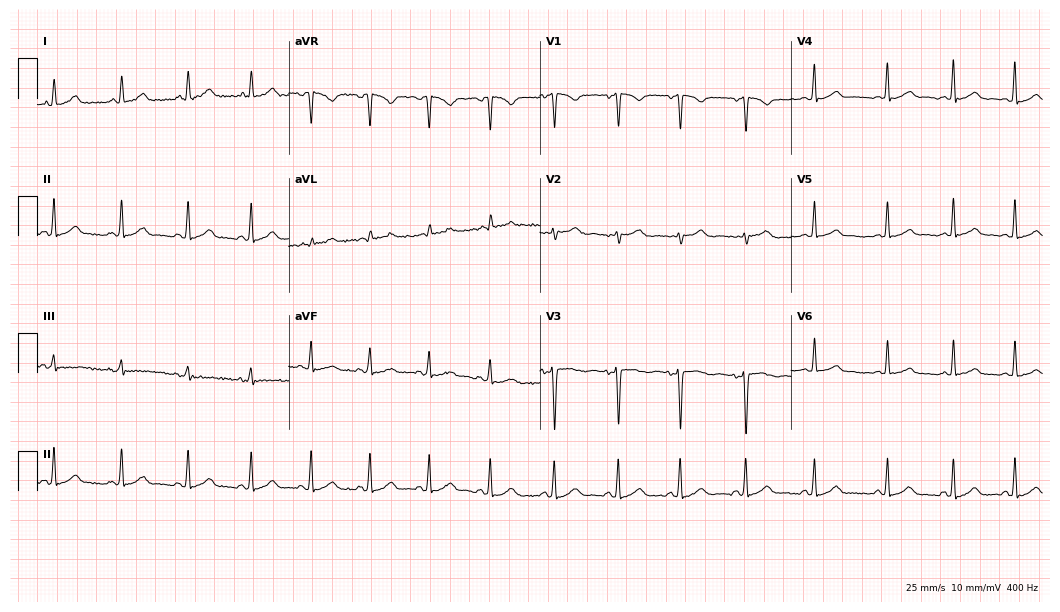
ECG — a female, 17 years old. Labelled as a normal ECG.